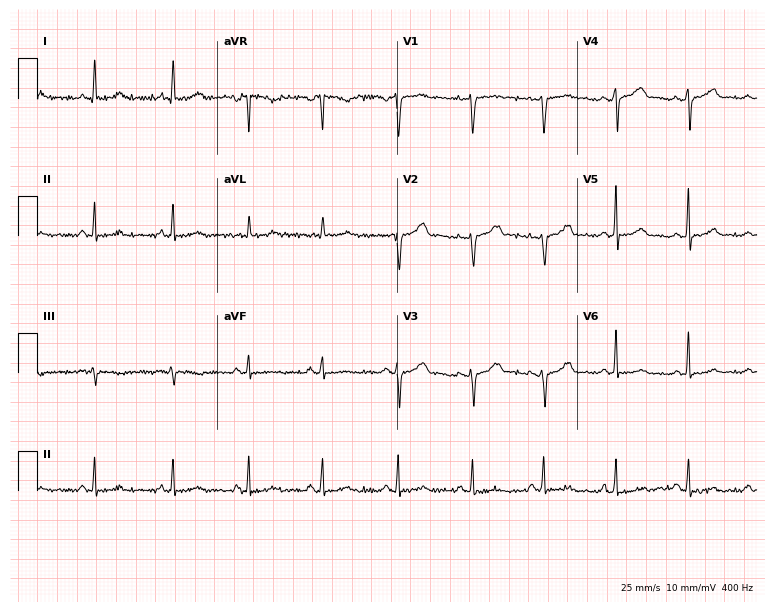
12-lead ECG (7.3-second recording at 400 Hz) from a 42-year-old woman. Labelled as a normal ECG.